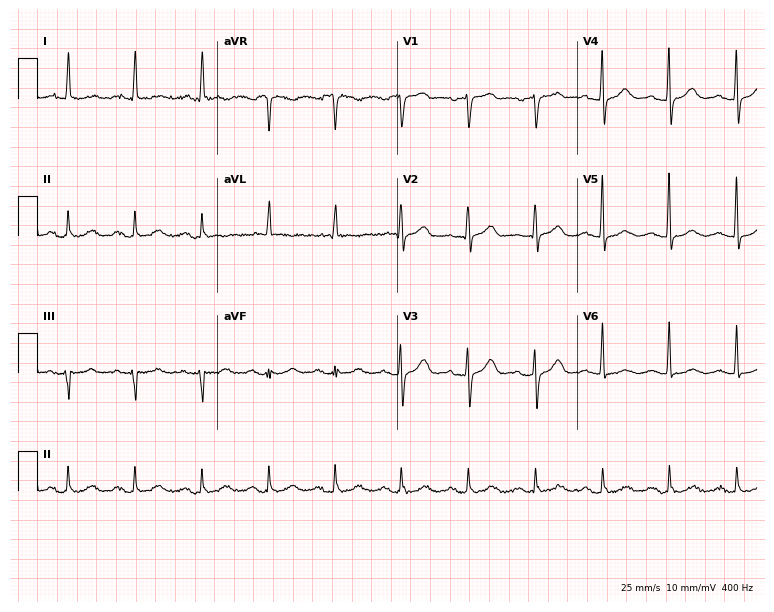
Standard 12-lead ECG recorded from a female patient, 70 years old. Read as a normal ECG.